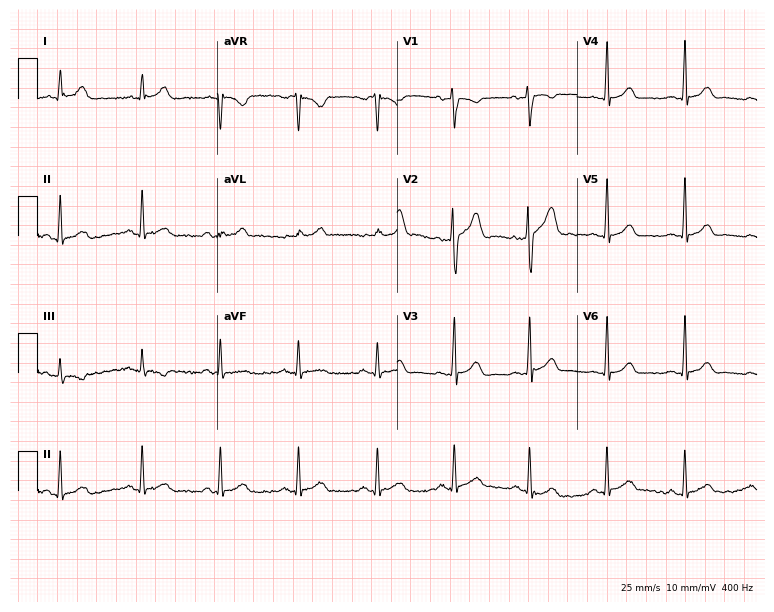
Resting 12-lead electrocardiogram (7.3-second recording at 400 Hz). Patient: a 28-year-old man. Read as a normal ECG.